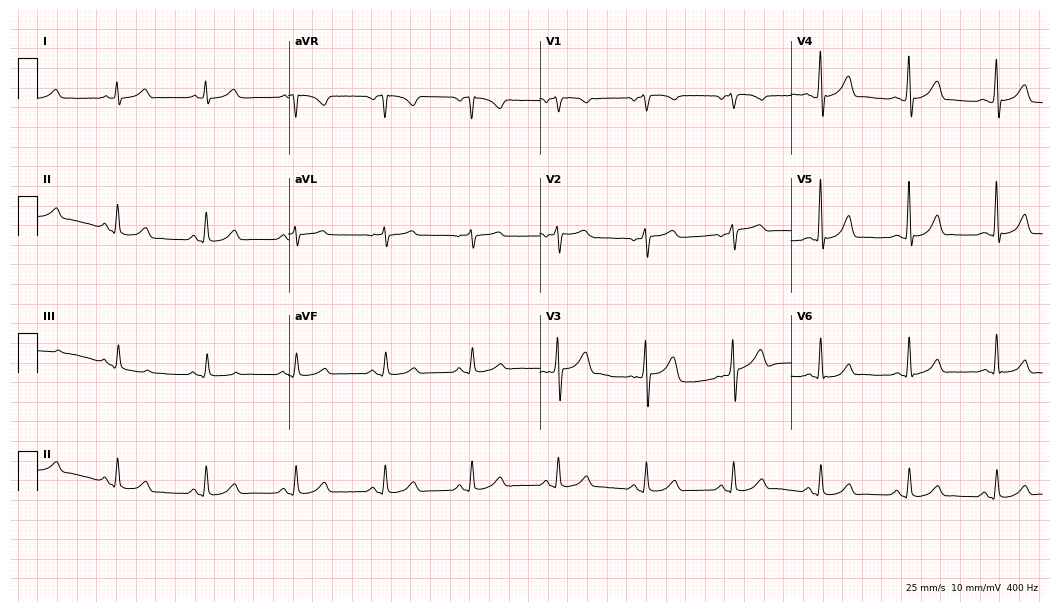
Resting 12-lead electrocardiogram (10.2-second recording at 400 Hz). Patient: a 55-year-old male. Read as a normal ECG.